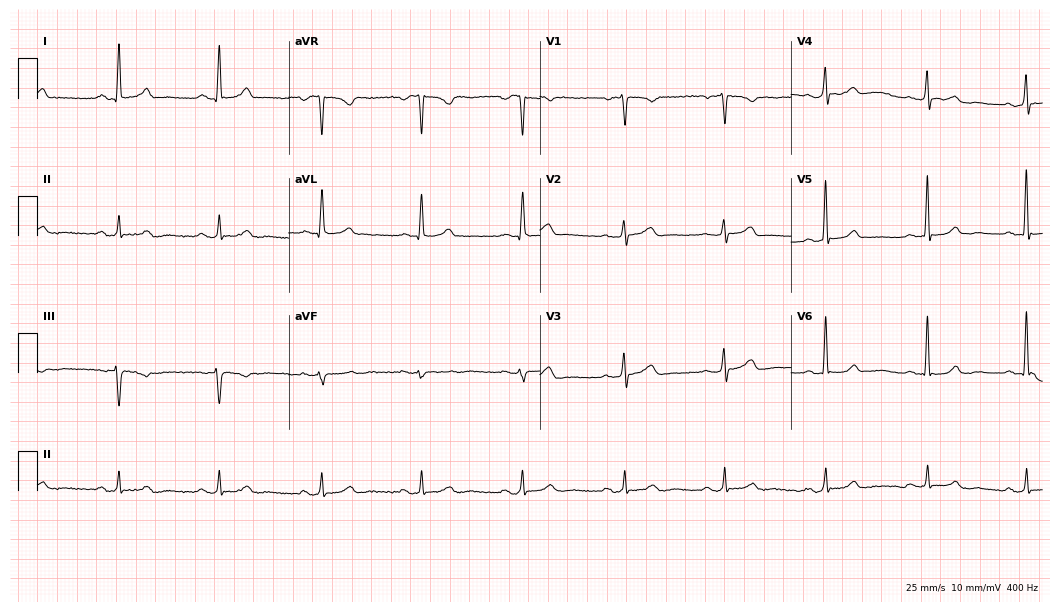
12-lead ECG from a female, 47 years old. No first-degree AV block, right bundle branch block, left bundle branch block, sinus bradycardia, atrial fibrillation or sinus tachycardia recorded for this tracing.